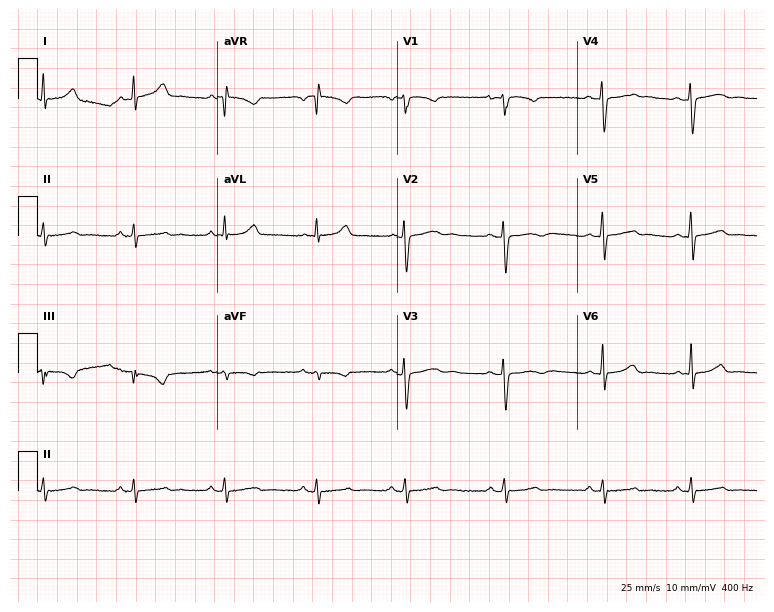
Standard 12-lead ECG recorded from a 24-year-old woman (7.3-second recording at 400 Hz). None of these six findings is recorded: first-degree AV block, right bundle branch block, left bundle branch block, sinus bradycardia, atrial fibrillation, sinus tachycardia. Findings outside these six are not listed.